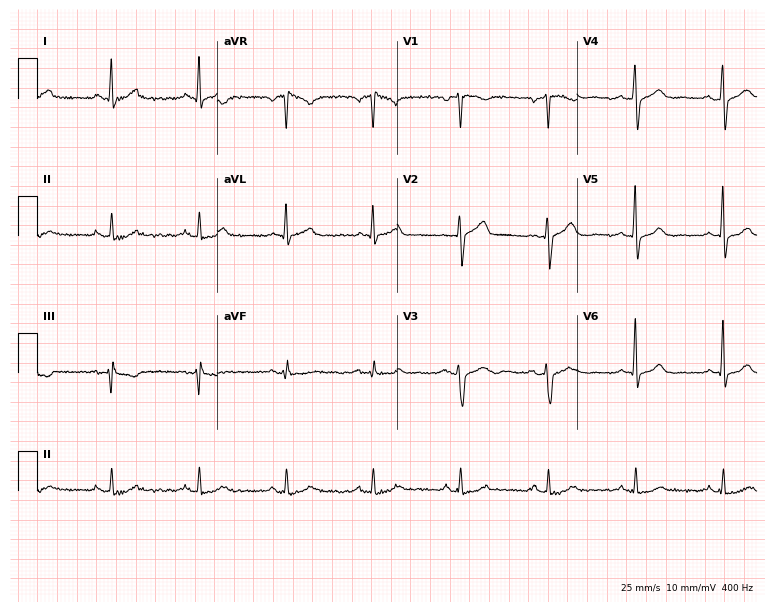
12-lead ECG from a male patient, 63 years old (7.3-second recording at 400 Hz). No first-degree AV block, right bundle branch block (RBBB), left bundle branch block (LBBB), sinus bradycardia, atrial fibrillation (AF) or sinus tachycardia recorded for this tracing.